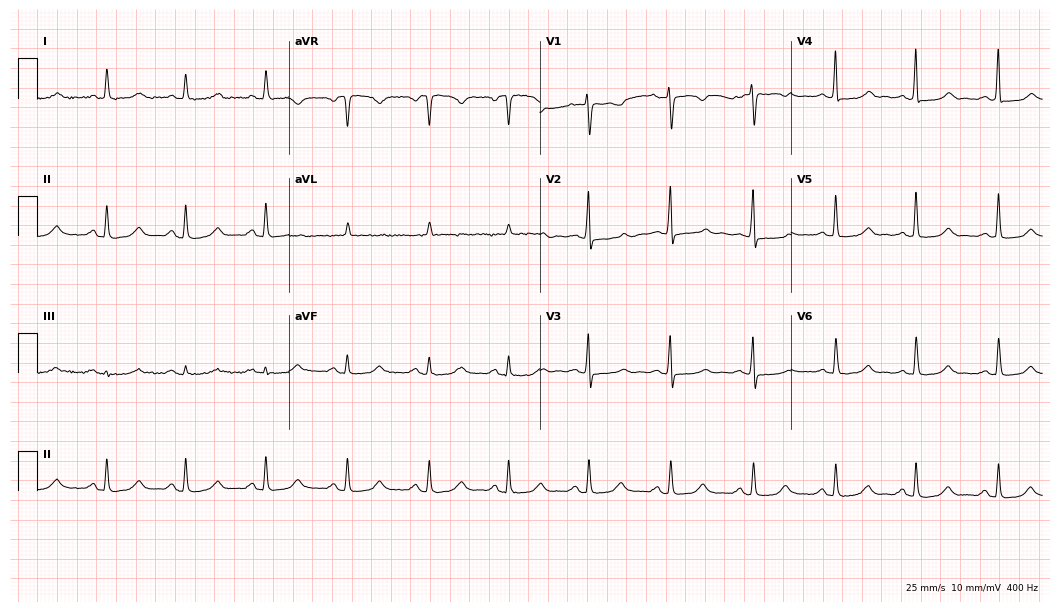
Standard 12-lead ECG recorded from a woman, 67 years old (10.2-second recording at 400 Hz). Read as a normal ECG.